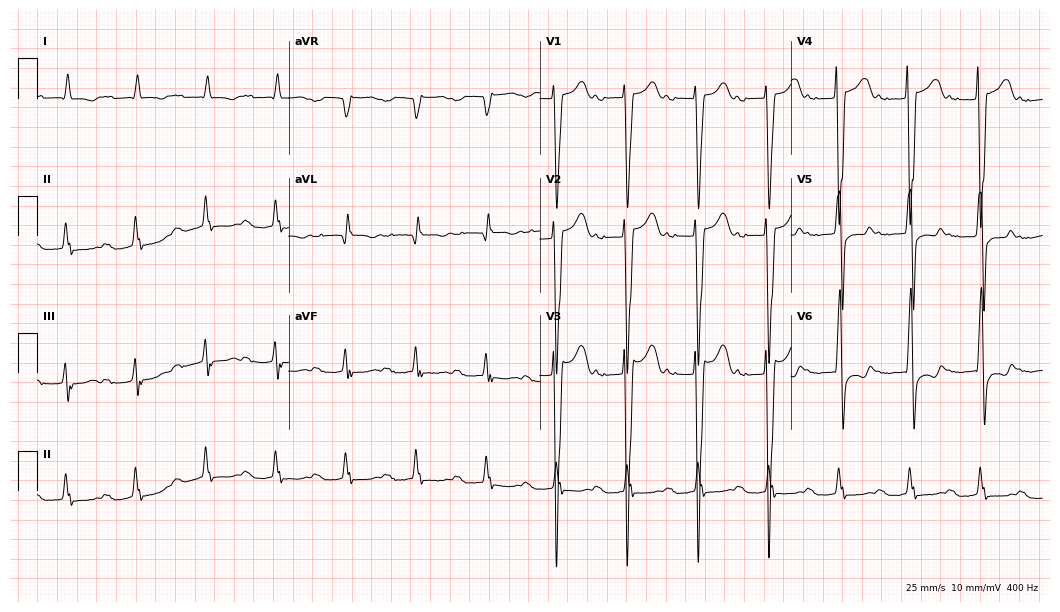
ECG (10.2-second recording at 400 Hz) — an 82-year-old male. Screened for six findings — first-degree AV block, right bundle branch block, left bundle branch block, sinus bradycardia, atrial fibrillation, sinus tachycardia — none is recorded. Findings outside these six are not listed.